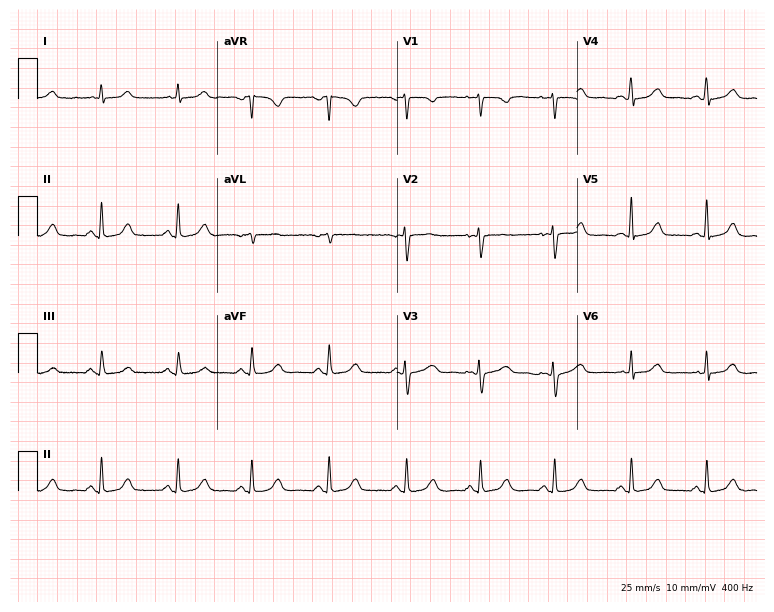
Standard 12-lead ECG recorded from a female, 42 years old (7.3-second recording at 400 Hz). Read as a normal ECG.